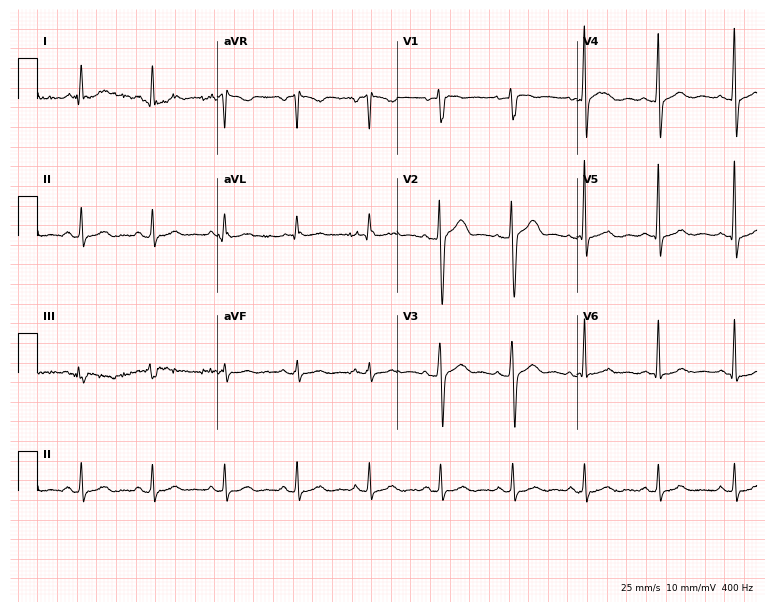
Resting 12-lead electrocardiogram. Patient: a male, 45 years old. None of these six findings is recorded: first-degree AV block, right bundle branch block, left bundle branch block, sinus bradycardia, atrial fibrillation, sinus tachycardia.